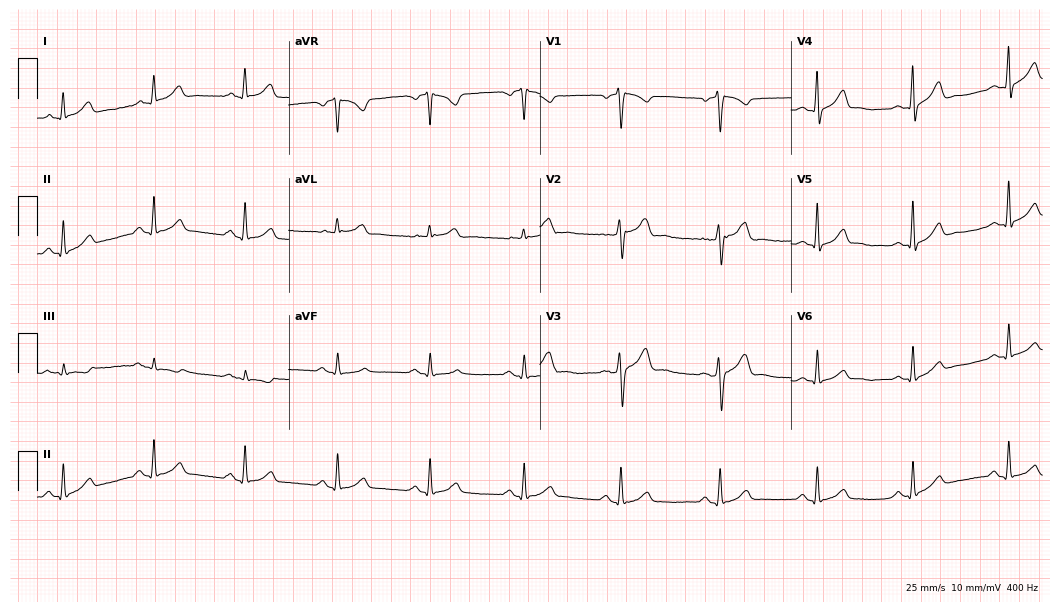
ECG — a 45-year-old male. Labelled as a normal ECG.